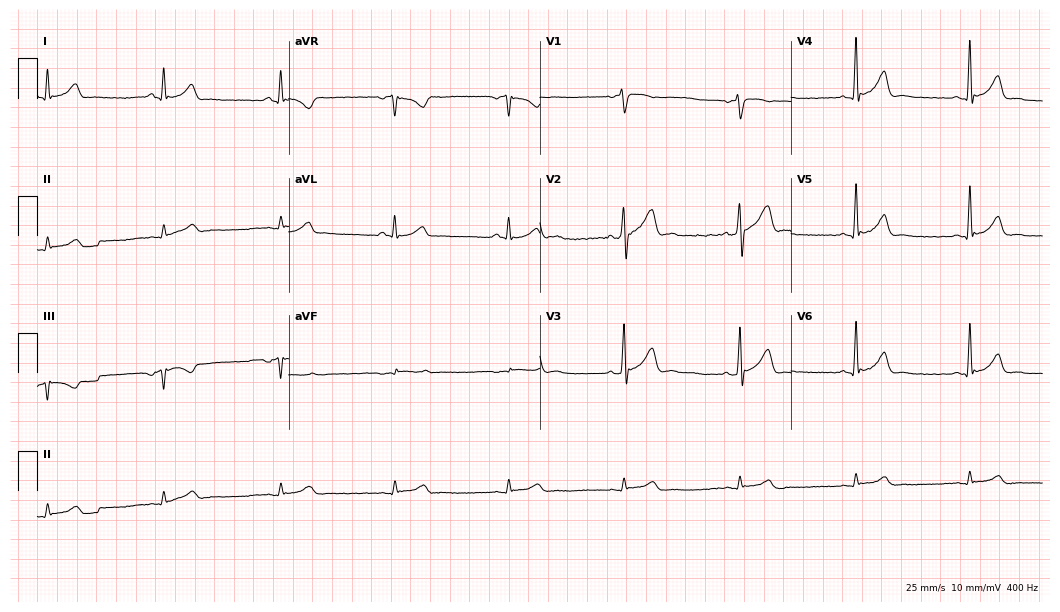
Resting 12-lead electrocardiogram (10.2-second recording at 400 Hz). Patient: a man, 49 years old. None of these six findings is recorded: first-degree AV block, right bundle branch block, left bundle branch block, sinus bradycardia, atrial fibrillation, sinus tachycardia. Findings outside these six are not listed.